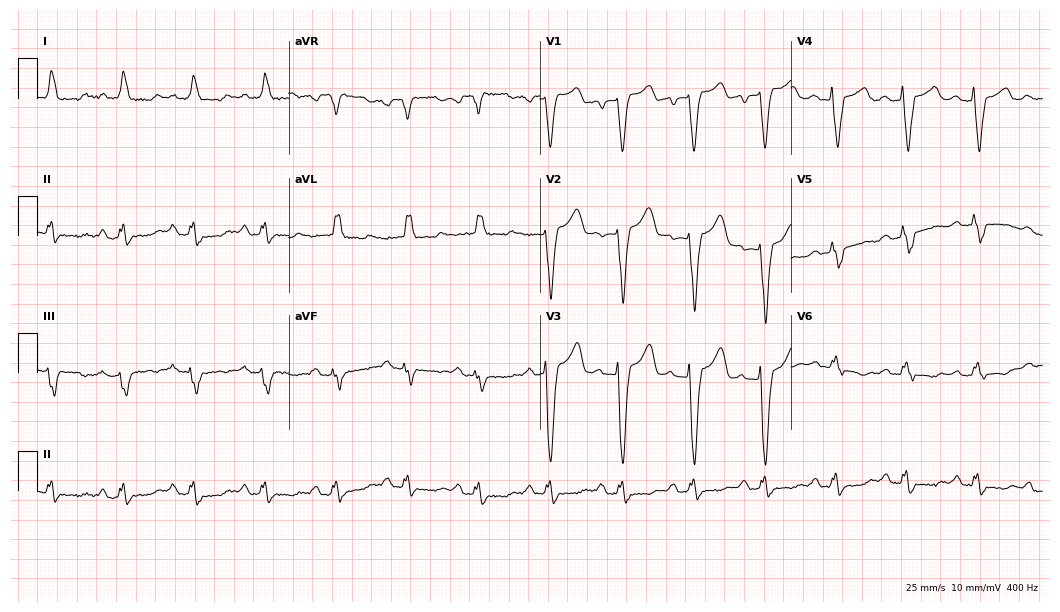
ECG — a 64-year-old female patient. Findings include first-degree AV block, left bundle branch block (LBBB).